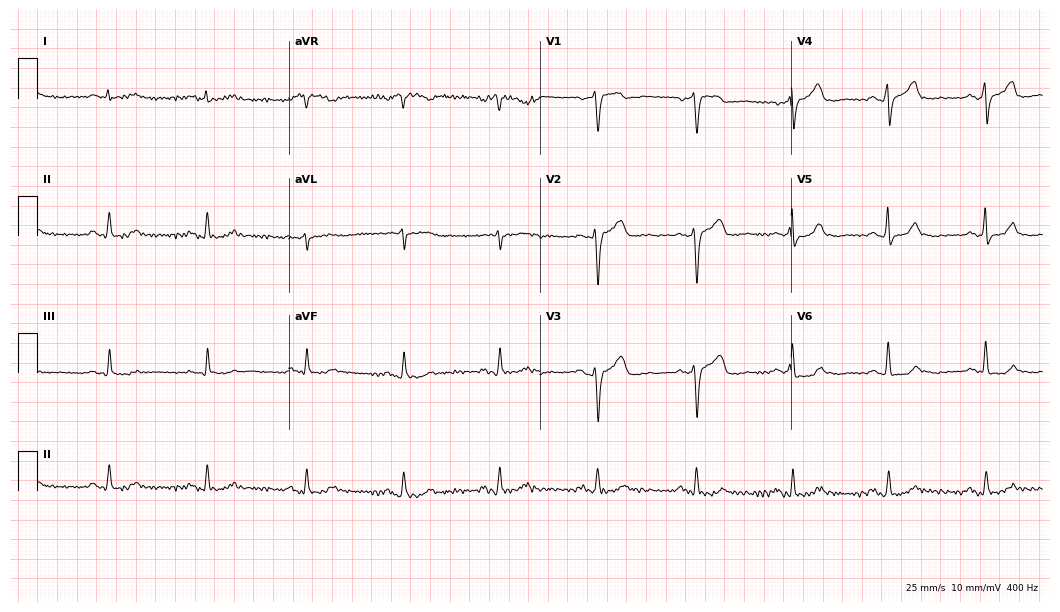
Electrocardiogram (10.2-second recording at 400 Hz), a man, 63 years old. Overall reading on record: normal ECG.